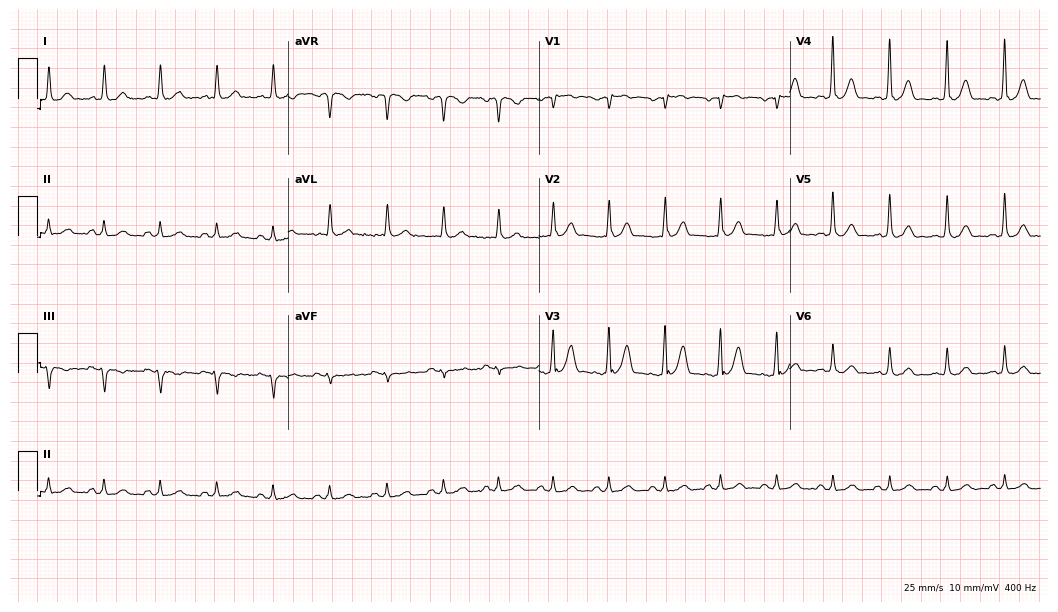
ECG — a 72-year-old man. Findings include sinus tachycardia (a sinus rate of 100 beats per minute or more).